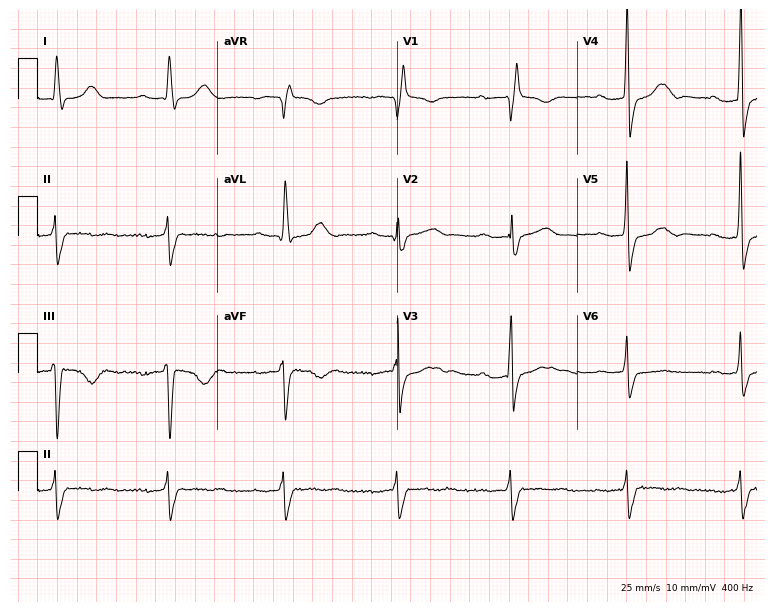
Standard 12-lead ECG recorded from a 43-year-old male. The tracing shows right bundle branch block (RBBB).